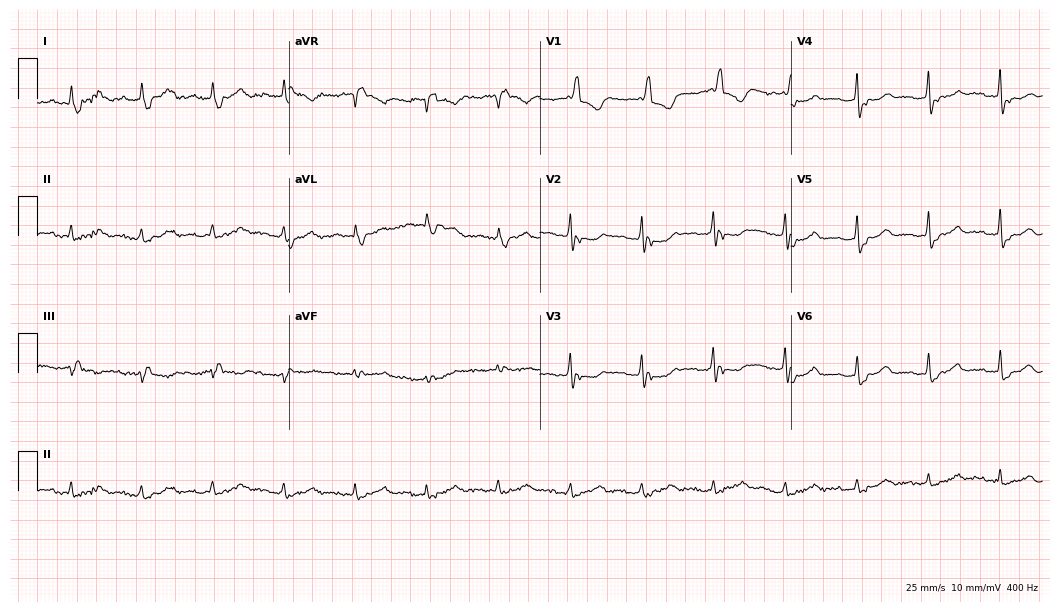
12-lead ECG from a 72-year-old male patient (10.2-second recording at 400 Hz). No first-degree AV block, right bundle branch block, left bundle branch block, sinus bradycardia, atrial fibrillation or sinus tachycardia recorded for this tracing.